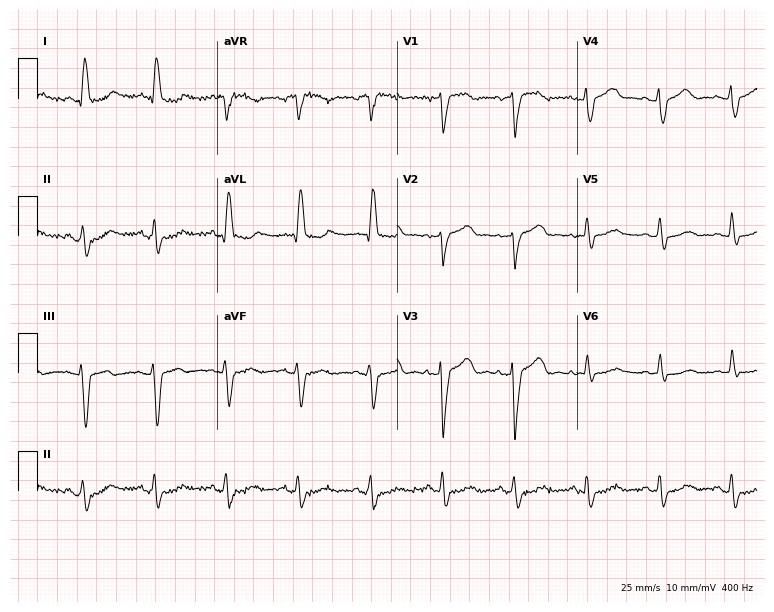
ECG — a 63-year-old woman. Screened for six findings — first-degree AV block, right bundle branch block, left bundle branch block, sinus bradycardia, atrial fibrillation, sinus tachycardia — none is recorded. Other findings, if any, are not listed.